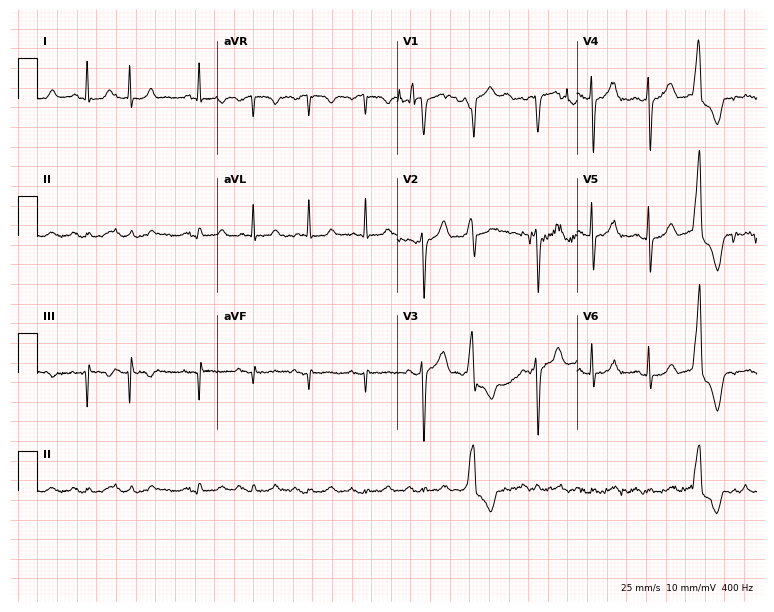
Resting 12-lead electrocardiogram. Patient: a male, 83 years old. None of these six findings is recorded: first-degree AV block, right bundle branch block (RBBB), left bundle branch block (LBBB), sinus bradycardia, atrial fibrillation (AF), sinus tachycardia. Findings outside these six are not listed.